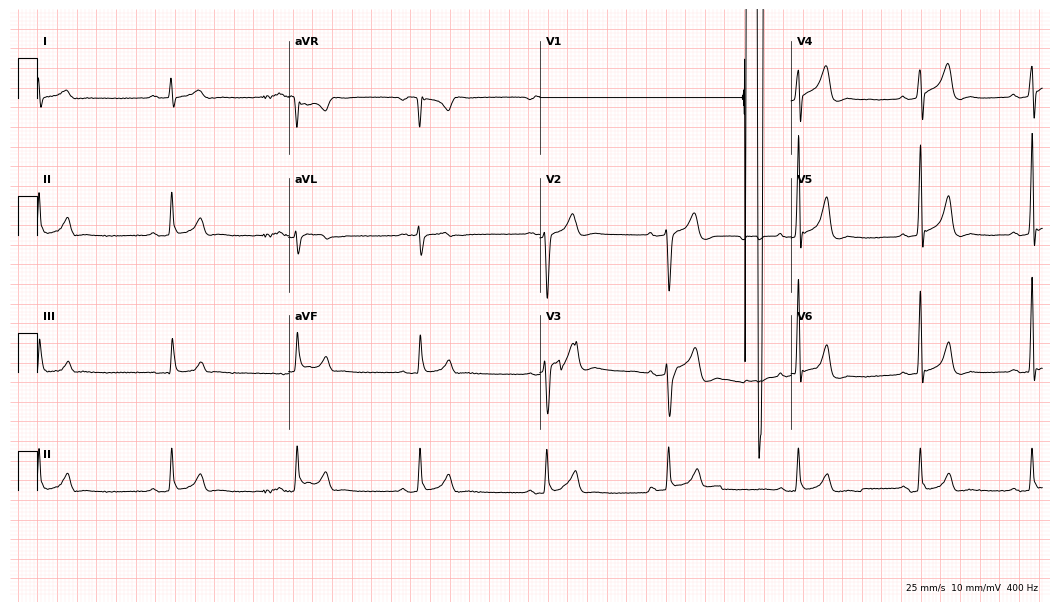
12-lead ECG (10.2-second recording at 400 Hz) from a 29-year-old male patient. Findings include sinus bradycardia (a sinus rate of 50 beats per minute or less).